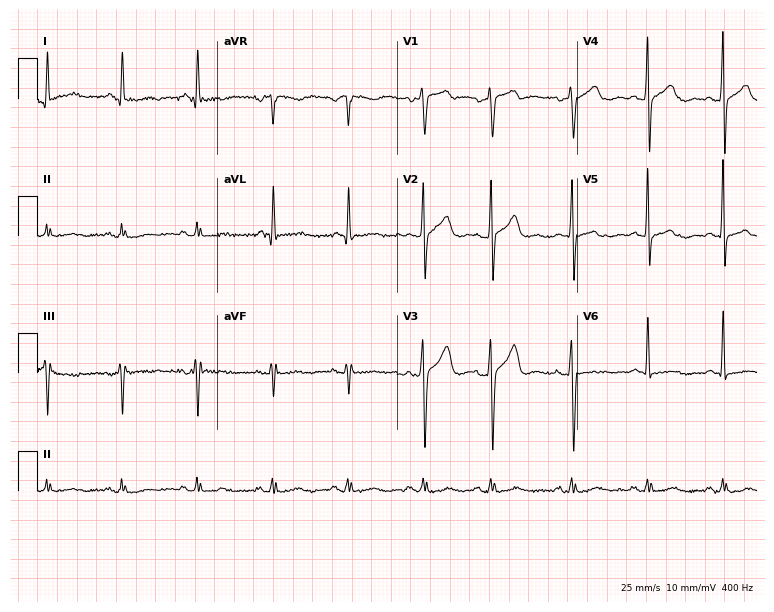
Standard 12-lead ECG recorded from a 67-year-old male patient. Read as a normal ECG.